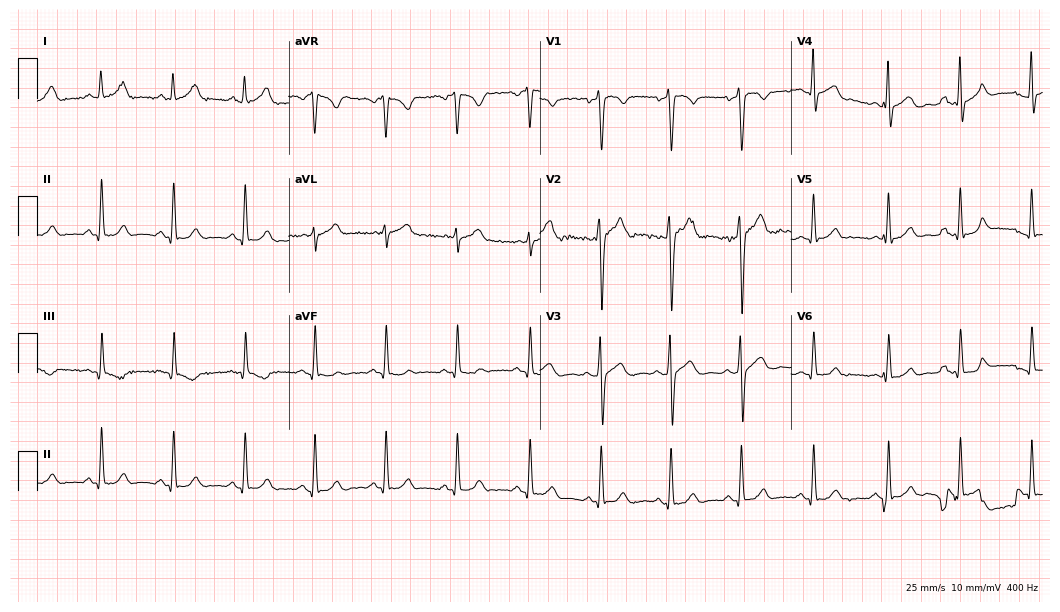
Resting 12-lead electrocardiogram (10.2-second recording at 400 Hz). Patient: a 21-year-old man. Read as a normal ECG.